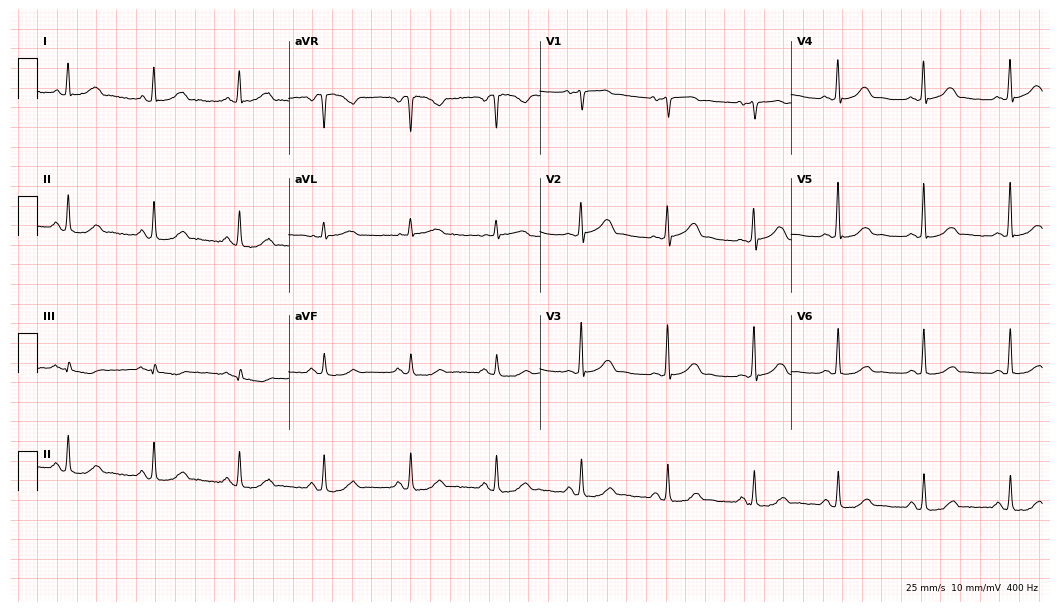
12-lead ECG from a 58-year-old female. Screened for six findings — first-degree AV block, right bundle branch block (RBBB), left bundle branch block (LBBB), sinus bradycardia, atrial fibrillation (AF), sinus tachycardia — none is recorded.